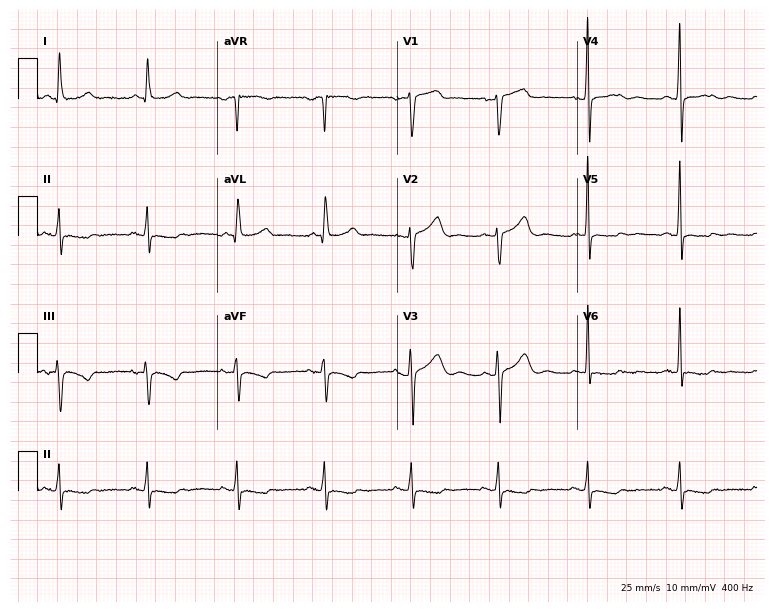
Electrocardiogram, a female, 60 years old. Of the six screened findings (first-degree AV block, right bundle branch block, left bundle branch block, sinus bradycardia, atrial fibrillation, sinus tachycardia), none is recorded. Only these six findings were labelled.